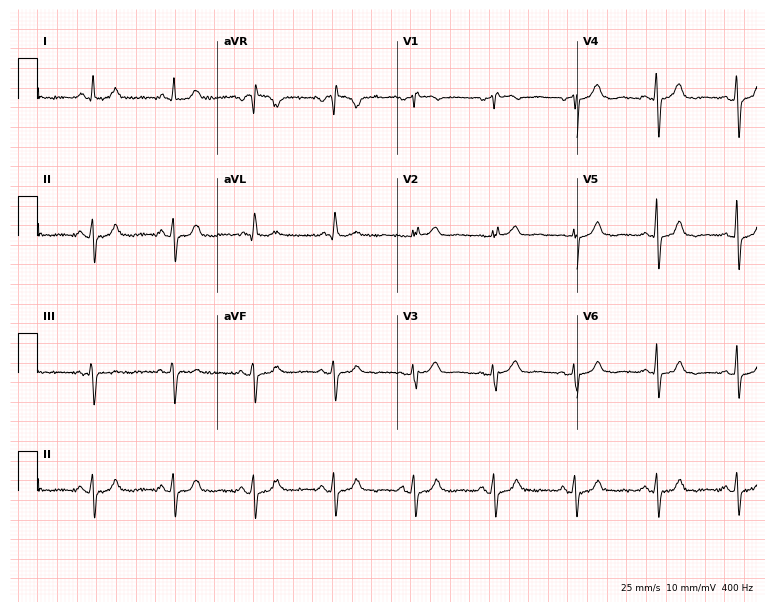
Electrocardiogram (7.3-second recording at 400 Hz), a woman, 66 years old. Of the six screened findings (first-degree AV block, right bundle branch block (RBBB), left bundle branch block (LBBB), sinus bradycardia, atrial fibrillation (AF), sinus tachycardia), none is recorded. Only these six findings were labelled.